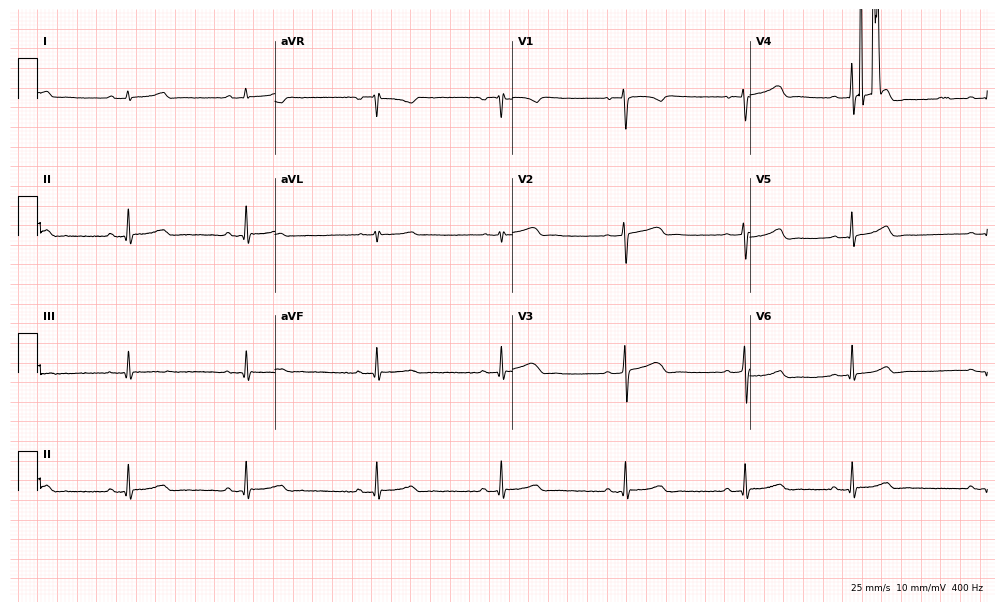
Resting 12-lead electrocardiogram (9.7-second recording at 400 Hz). Patient: a 34-year-old male. None of these six findings is recorded: first-degree AV block, right bundle branch block, left bundle branch block, sinus bradycardia, atrial fibrillation, sinus tachycardia.